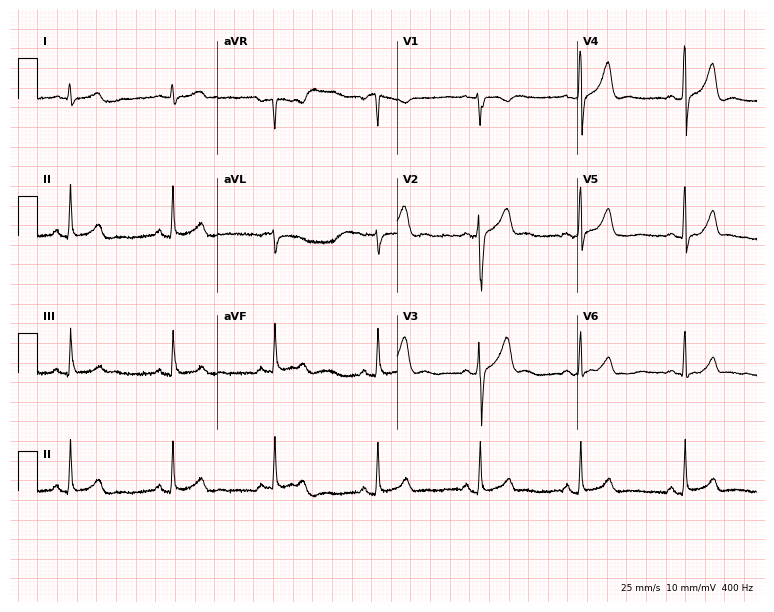
Electrocardiogram (7.3-second recording at 400 Hz), a male, 24 years old. Overall reading on record: normal ECG.